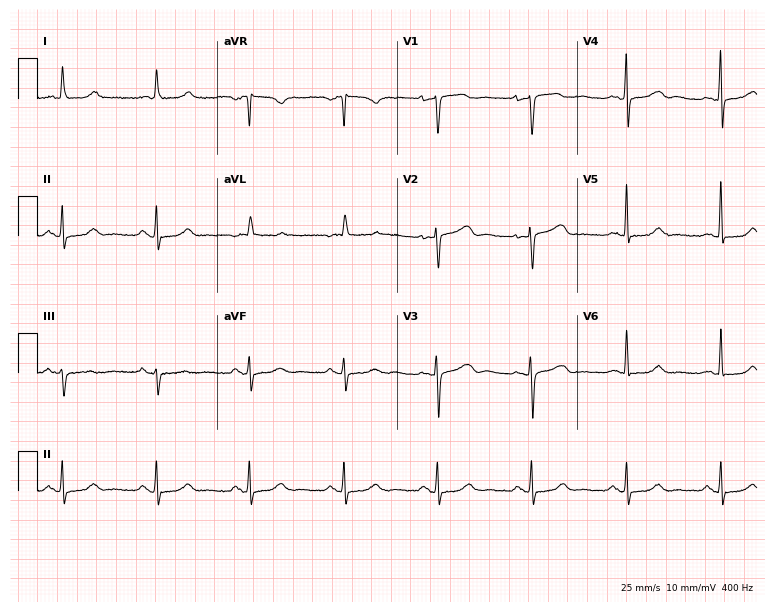
12-lead ECG (7.3-second recording at 400 Hz) from a 78-year-old woman. Screened for six findings — first-degree AV block, right bundle branch block (RBBB), left bundle branch block (LBBB), sinus bradycardia, atrial fibrillation (AF), sinus tachycardia — none is recorded.